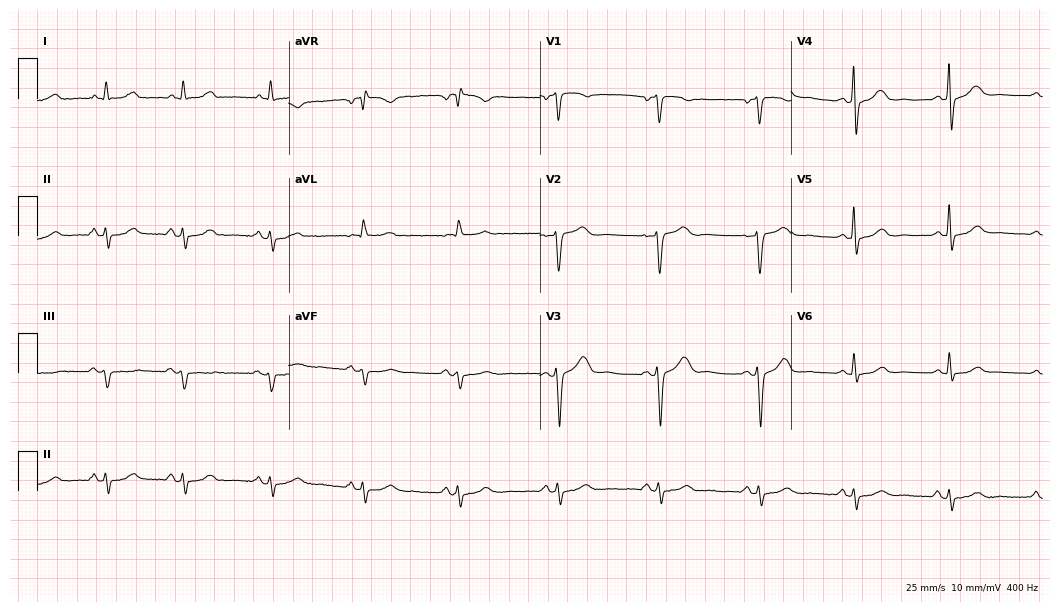
Resting 12-lead electrocardiogram. Patient: a female, 47 years old. None of these six findings is recorded: first-degree AV block, right bundle branch block, left bundle branch block, sinus bradycardia, atrial fibrillation, sinus tachycardia.